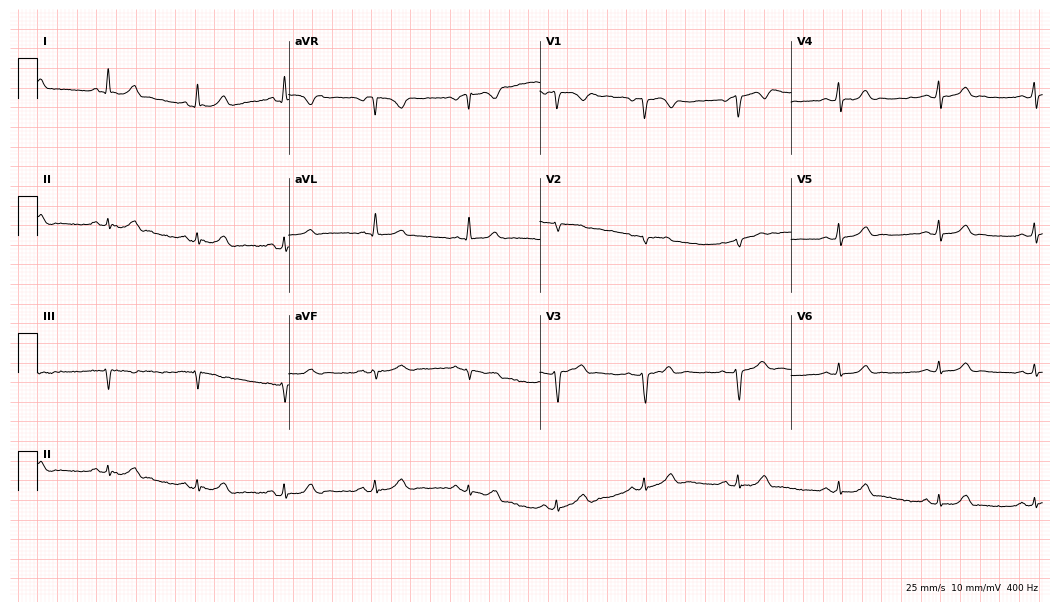
Electrocardiogram (10.2-second recording at 400 Hz), a female patient, 34 years old. Overall reading on record: normal ECG.